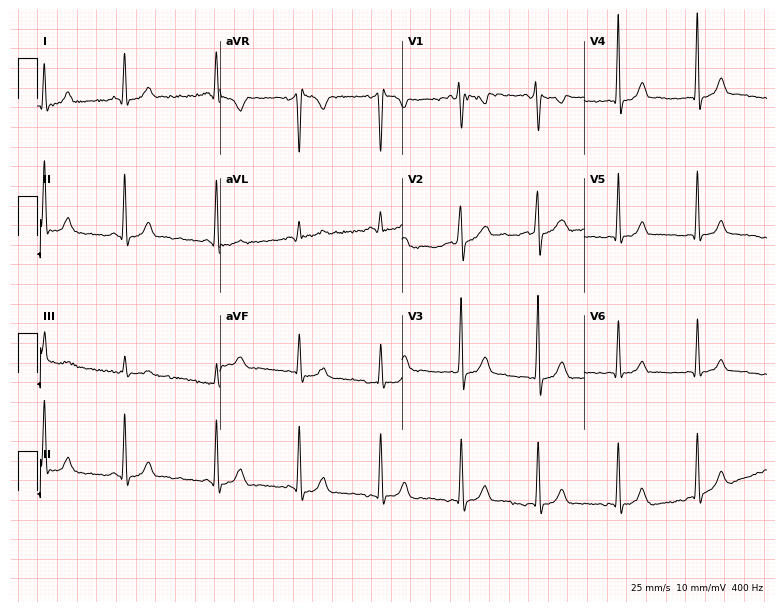
12-lead ECG (7.4-second recording at 400 Hz) from a 26-year-old woman. Screened for six findings — first-degree AV block, right bundle branch block, left bundle branch block, sinus bradycardia, atrial fibrillation, sinus tachycardia — none is recorded. Findings outside these six are not listed.